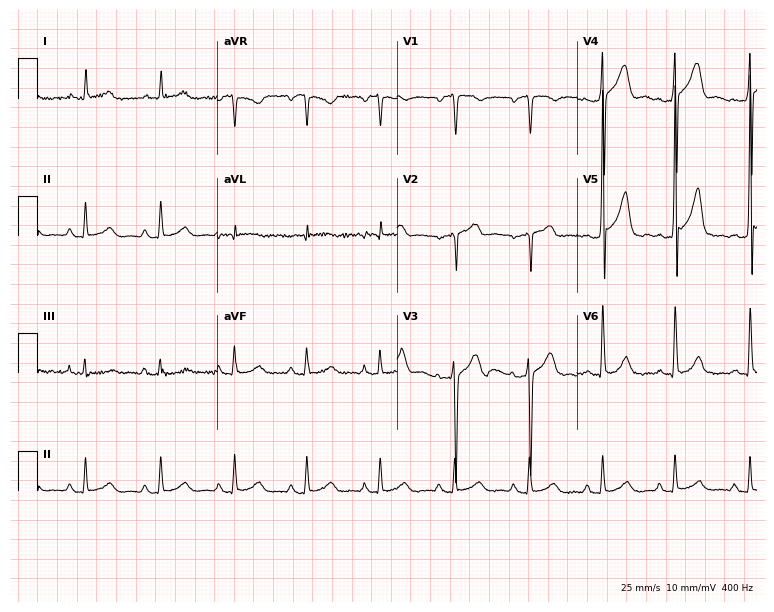
12-lead ECG from a male, 78 years old (7.3-second recording at 400 Hz). Recorded interpretation: within normal limits.